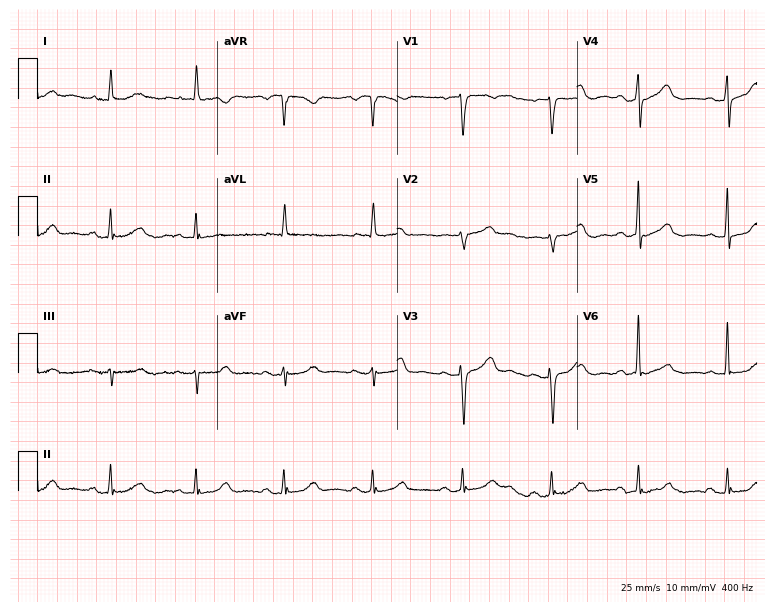
Resting 12-lead electrocardiogram (7.3-second recording at 400 Hz). Patient: a 74-year-old female. None of these six findings is recorded: first-degree AV block, right bundle branch block (RBBB), left bundle branch block (LBBB), sinus bradycardia, atrial fibrillation (AF), sinus tachycardia. Findings outside these six are not listed.